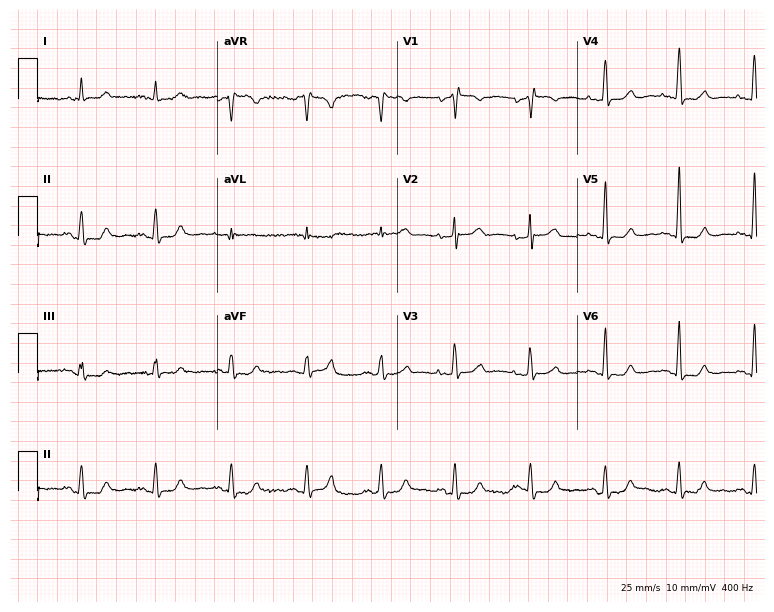
12-lead ECG from an 84-year-old female patient (7.3-second recording at 400 Hz). No first-degree AV block, right bundle branch block, left bundle branch block, sinus bradycardia, atrial fibrillation or sinus tachycardia recorded for this tracing. Only these six findings were labelled.